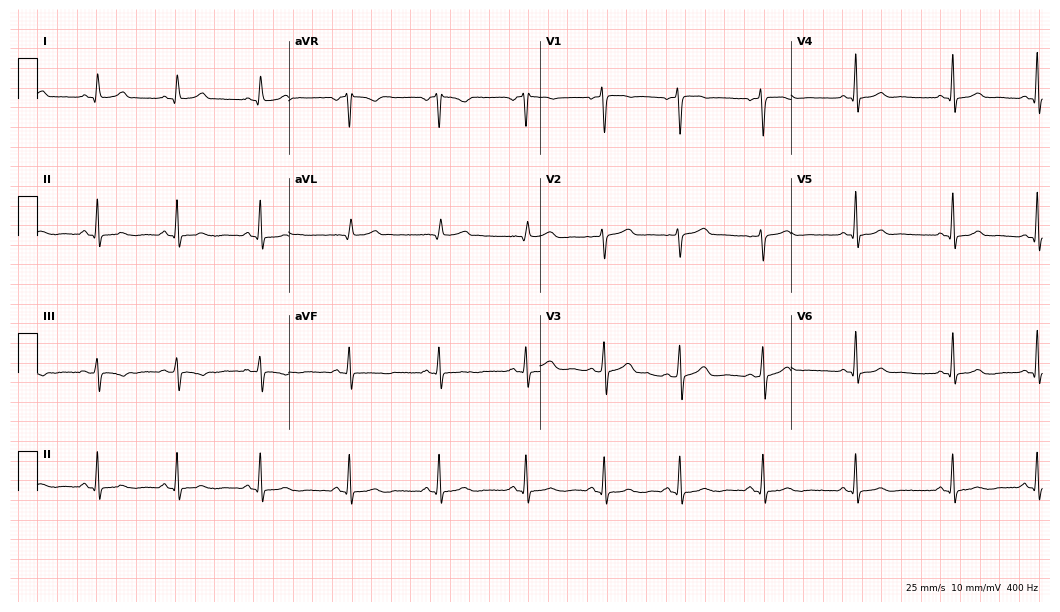
12-lead ECG (10.2-second recording at 400 Hz) from a 25-year-old female. Labelled as a normal ECG.